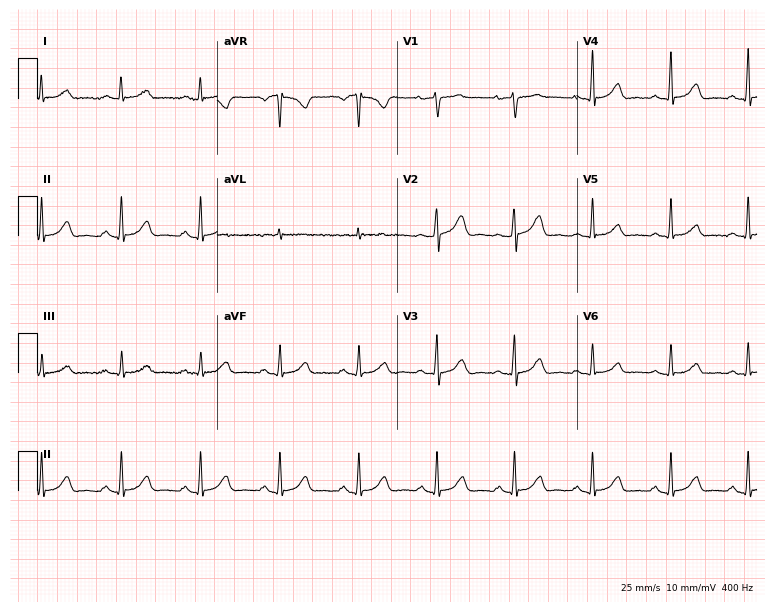
12-lead ECG from a woman, 54 years old. Labelled as a normal ECG.